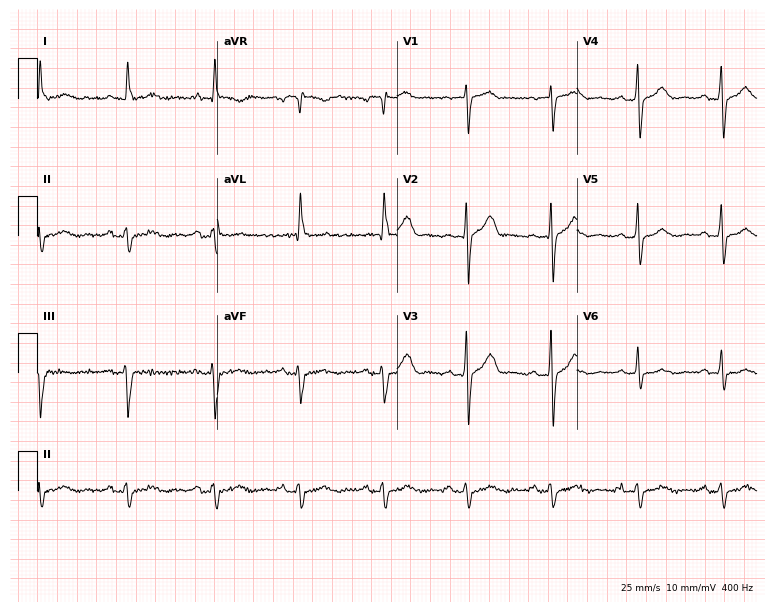
Electrocardiogram (7.3-second recording at 400 Hz), a male patient, 73 years old. Of the six screened findings (first-degree AV block, right bundle branch block (RBBB), left bundle branch block (LBBB), sinus bradycardia, atrial fibrillation (AF), sinus tachycardia), none is recorded. Other findings, if any, are not listed.